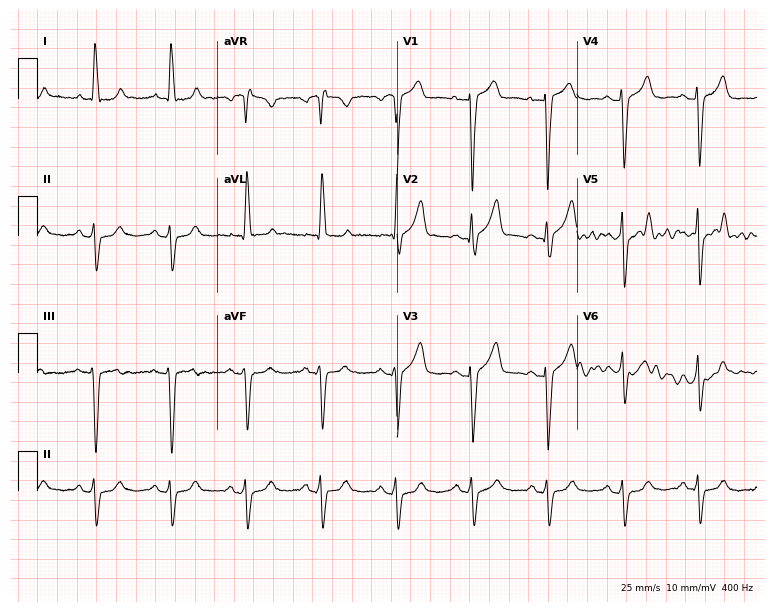
ECG (7.3-second recording at 400 Hz) — a 71-year-old woman. Screened for six findings — first-degree AV block, right bundle branch block, left bundle branch block, sinus bradycardia, atrial fibrillation, sinus tachycardia — none is recorded. Other findings, if any, are not listed.